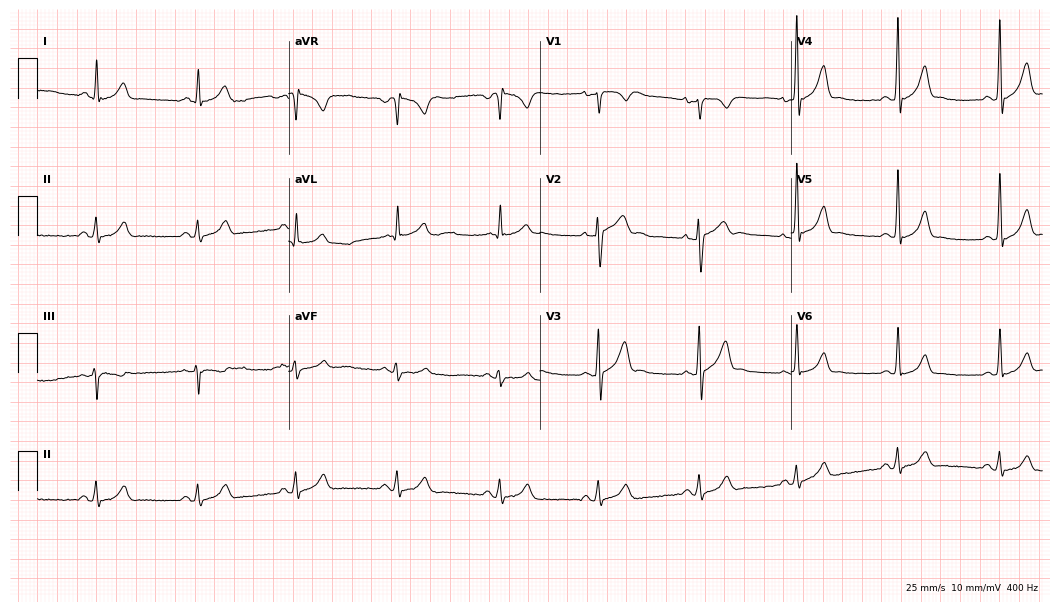
ECG (10.2-second recording at 400 Hz) — a male patient, 35 years old. Screened for six findings — first-degree AV block, right bundle branch block (RBBB), left bundle branch block (LBBB), sinus bradycardia, atrial fibrillation (AF), sinus tachycardia — none is recorded. Other findings, if any, are not listed.